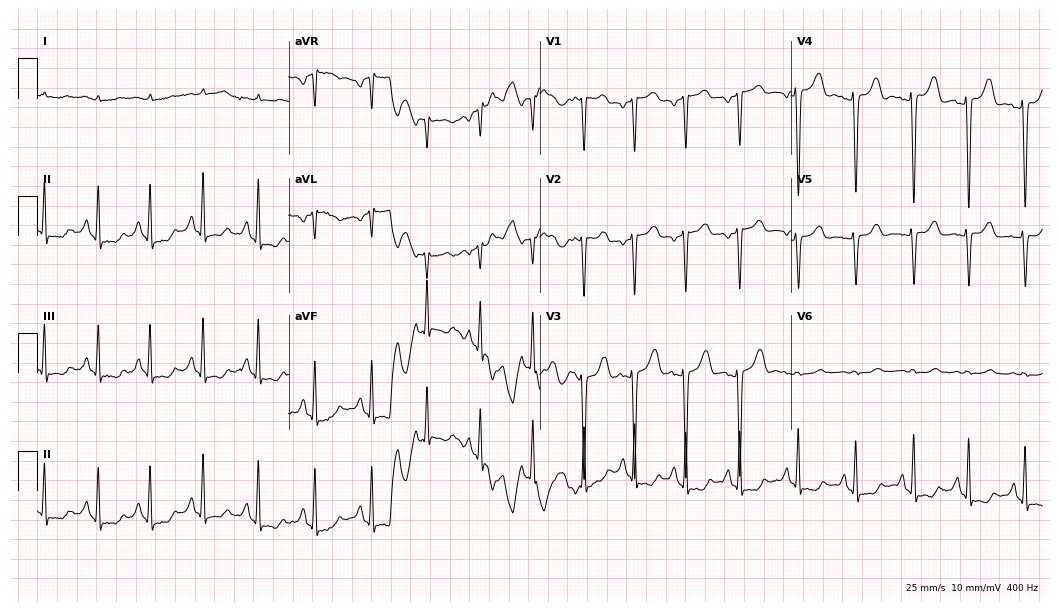
Resting 12-lead electrocardiogram (10.2-second recording at 400 Hz). Patient: a 43-year-old female. The tracing shows sinus tachycardia (a sinus rate of 100 beats per minute or more).